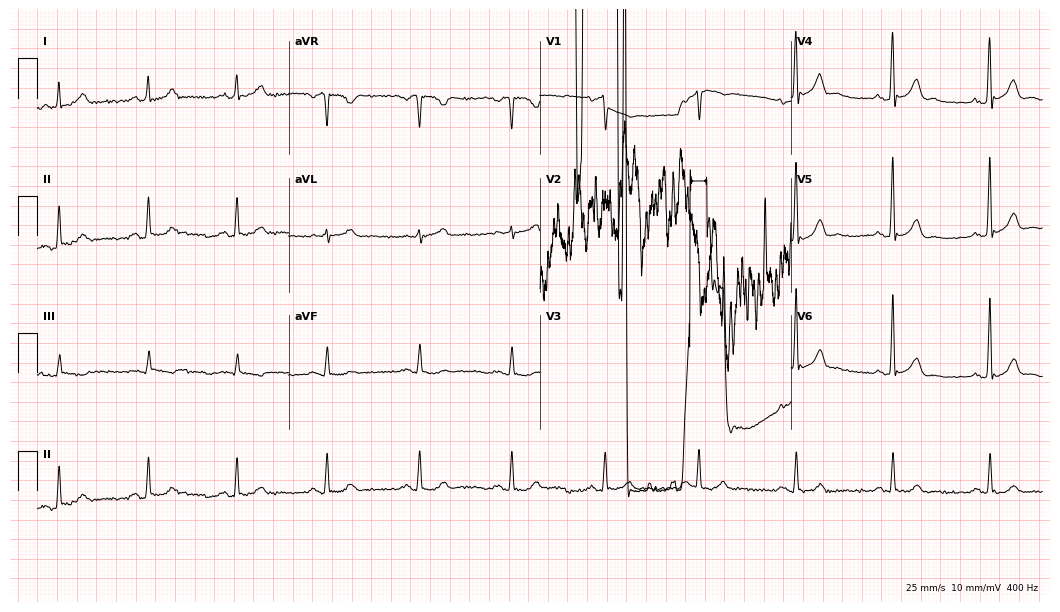
Standard 12-lead ECG recorded from a male, 48 years old. None of these six findings is recorded: first-degree AV block, right bundle branch block, left bundle branch block, sinus bradycardia, atrial fibrillation, sinus tachycardia.